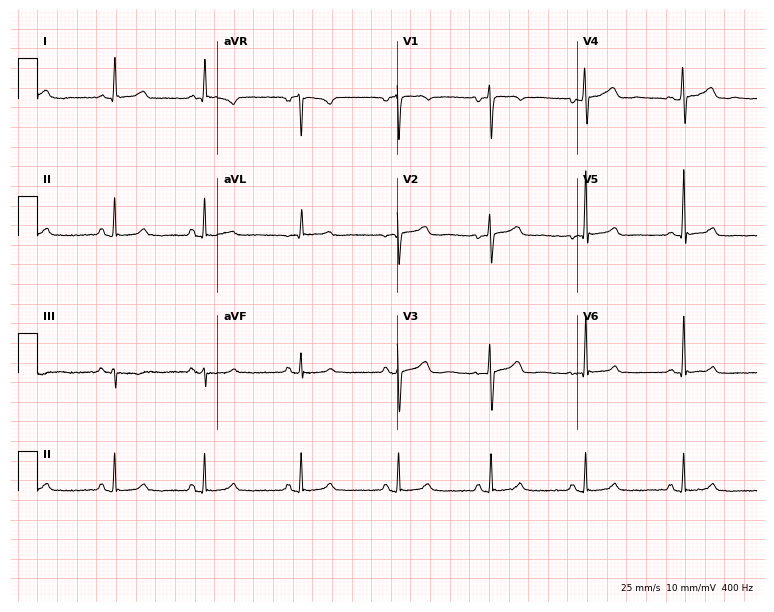
12-lead ECG from a female, 41 years old. Screened for six findings — first-degree AV block, right bundle branch block (RBBB), left bundle branch block (LBBB), sinus bradycardia, atrial fibrillation (AF), sinus tachycardia — none is recorded. Findings outside these six are not listed.